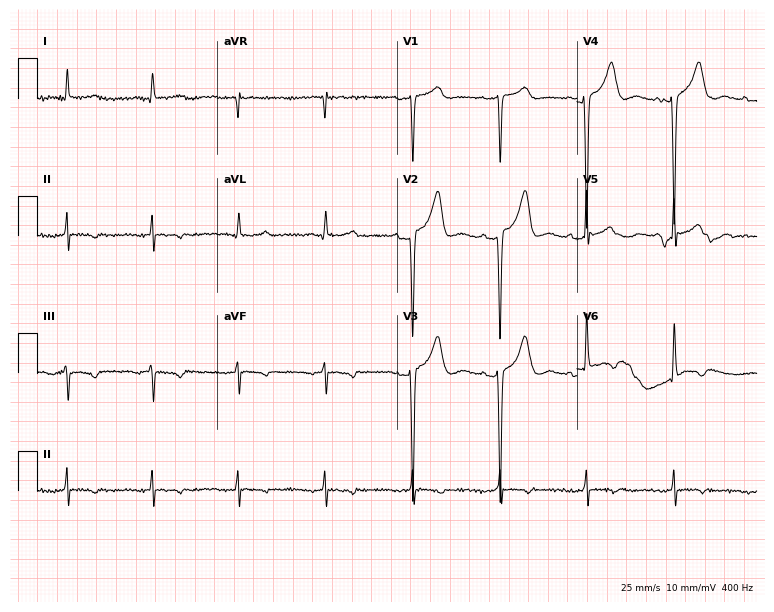
ECG — a male patient, 67 years old. Screened for six findings — first-degree AV block, right bundle branch block, left bundle branch block, sinus bradycardia, atrial fibrillation, sinus tachycardia — none is recorded. Only these six findings were labelled.